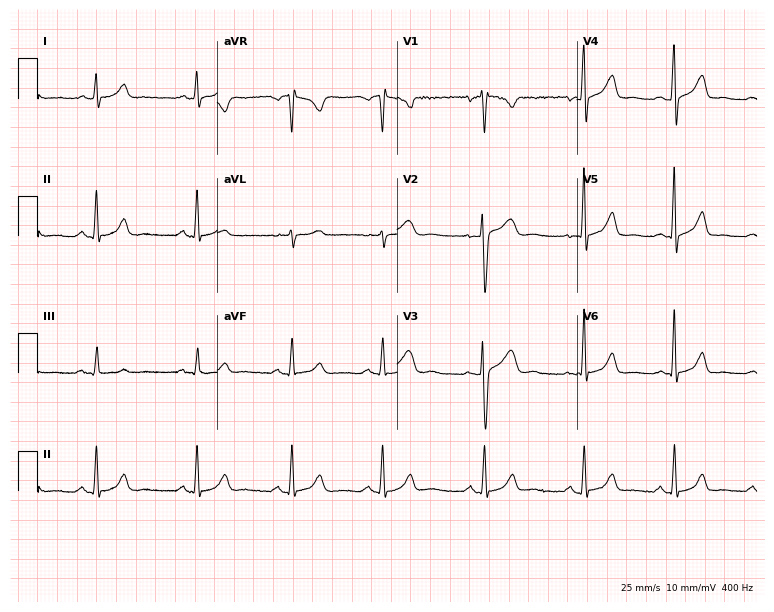
12-lead ECG from a 41-year-old female patient. Recorded interpretation: within normal limits.